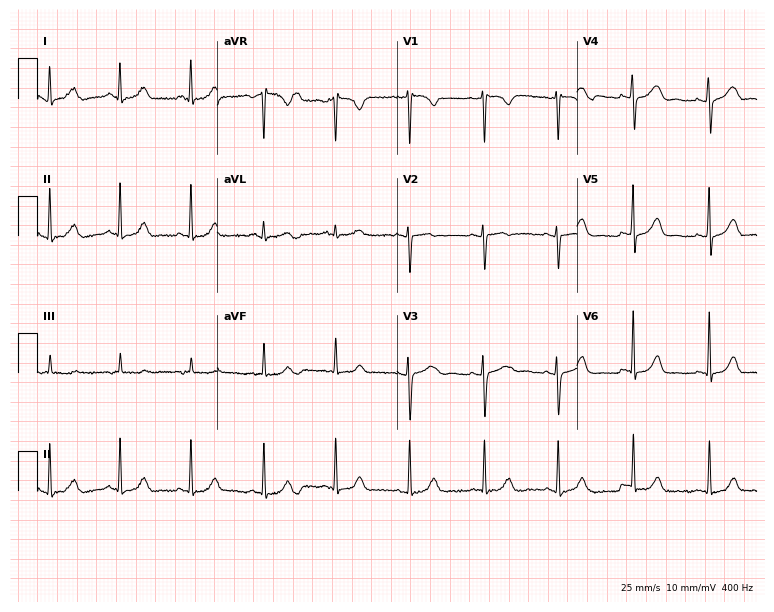
ECG — a female, 26 years old. Screened for six findings — first-degree AV block, right bundle branch block, left bundle branch block, sinus bradycardia, atrial fibrillation, sinus tachycardia — none is recorded. Only these six findings were labelled.